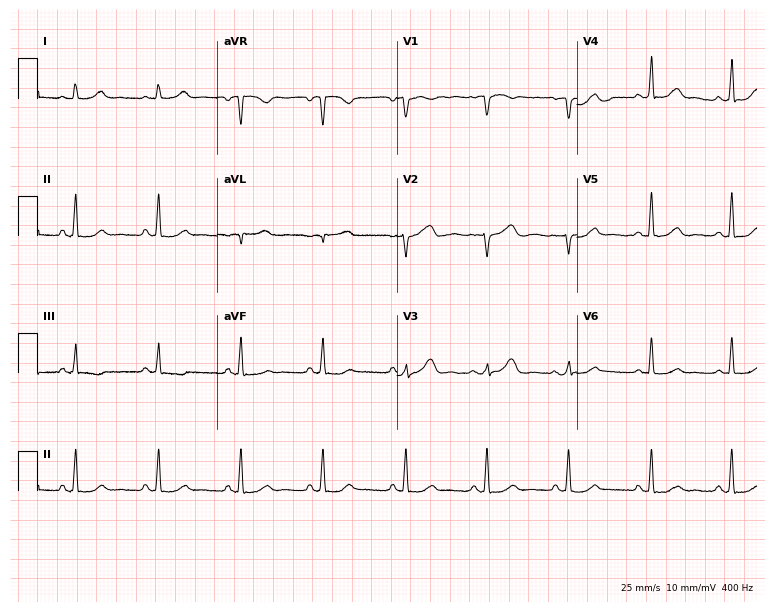
Standard 12-lead ECG recorded from a woman, 65 years old (7.3-second recording at 400 Hz). Read as a normal ECG.